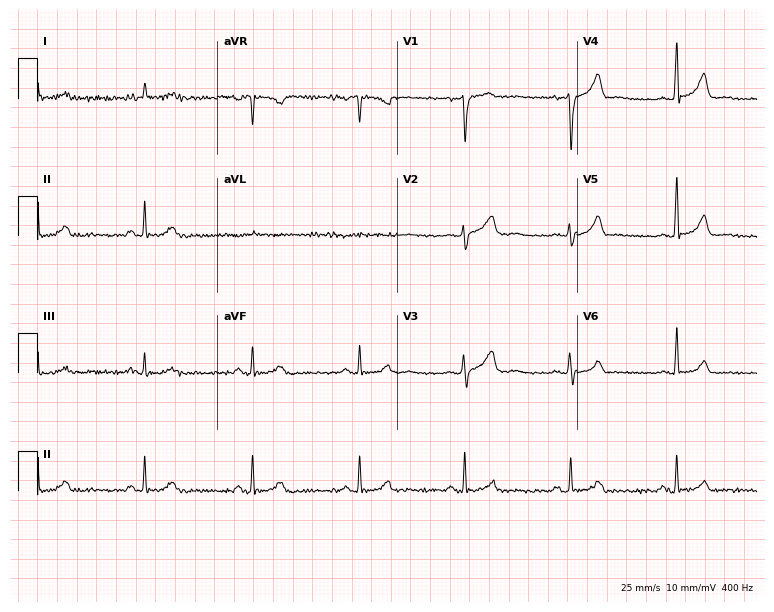
12-lead ECG from a 60-year-old male (7.3-second recording at 400 Hz). No first-degree AV block, right bundle branch block, left bundle branch block, sinus bradycardia, atrial fibrillation or sinus tachycardia recorded for this tracing.